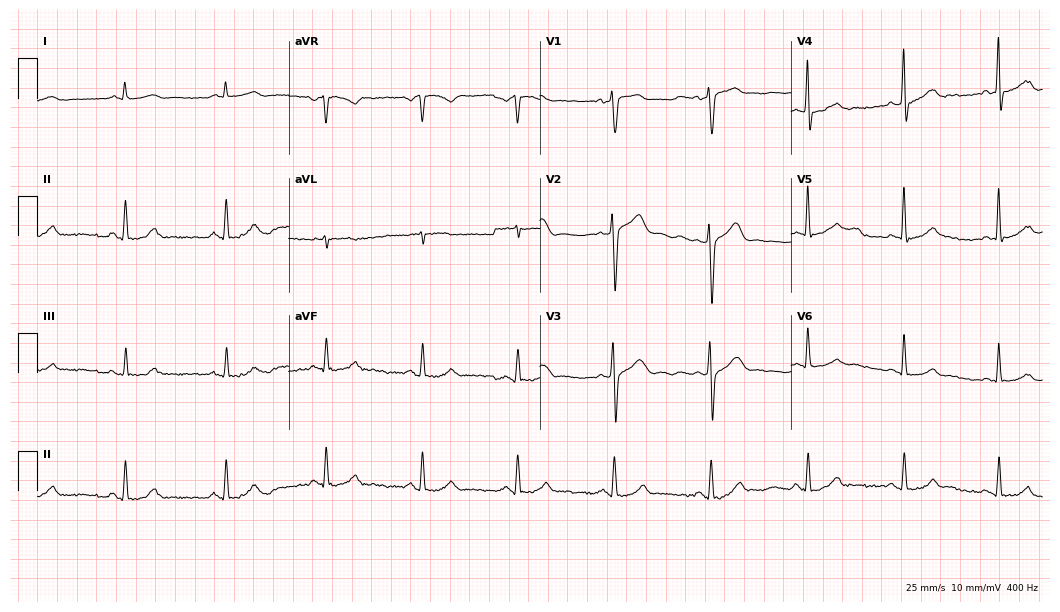
12-lead ECG from a 58-year-old male (10.2-second recording at 400 Hz). Recorded interpretation: within normal limits.